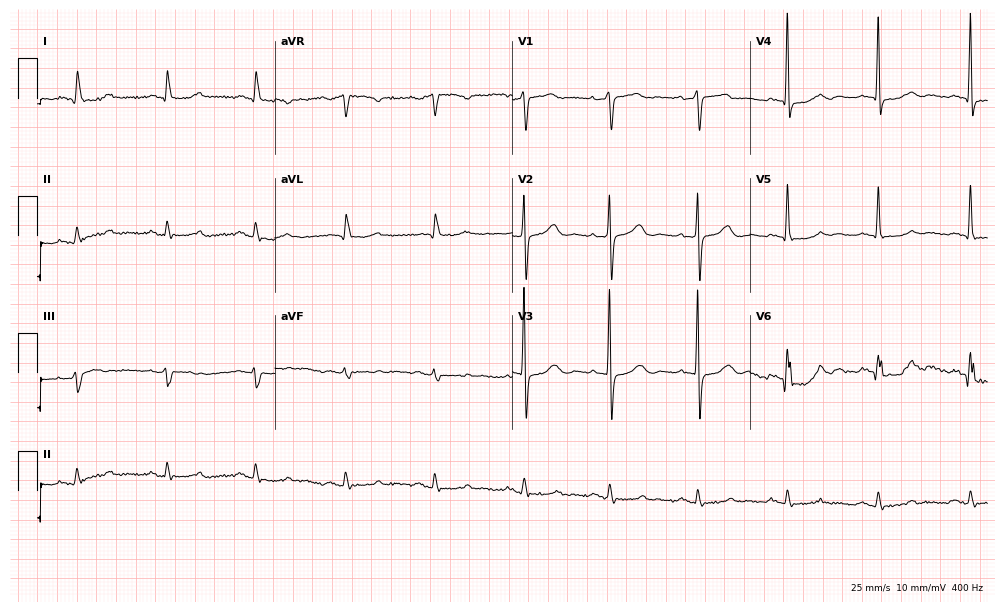
ECG — a 70-year-old female patient. Screened for six findings — first-degree AV block, right bundle branch block, left bundle branch block, sinus bradycardia, atrial fibrillation, sinus tachycardia — none is recorded. Only these six findings were labelled.